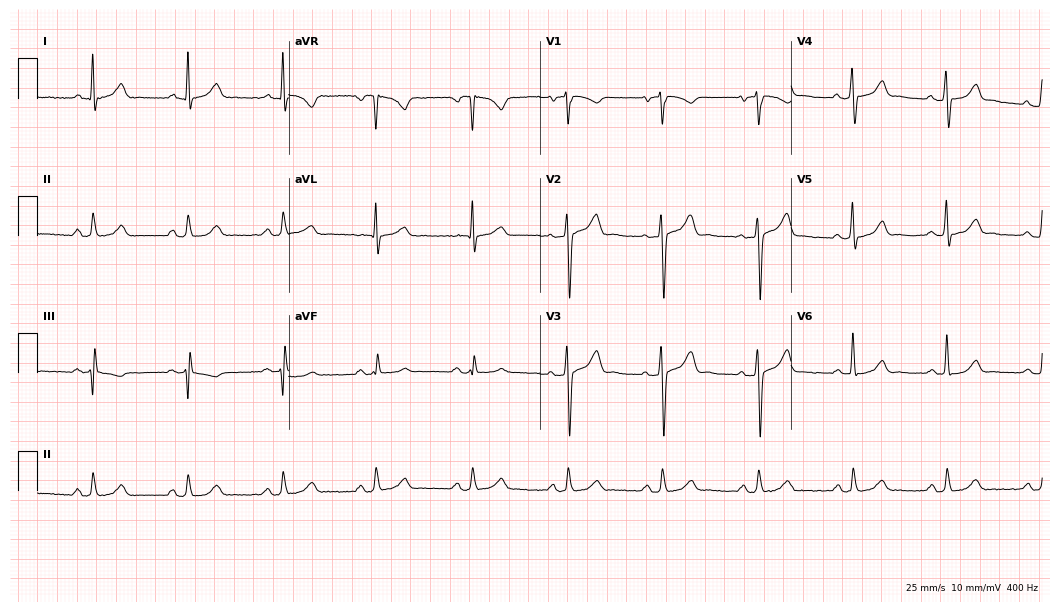
Electrocardiogram, a male, 53 years old. Of the six screened findings (first-degree AV block, right bundle branch block, left bundle branch block, sinus bradycardia, atrial fibrillation, sinus tachycardia), none is recorded.